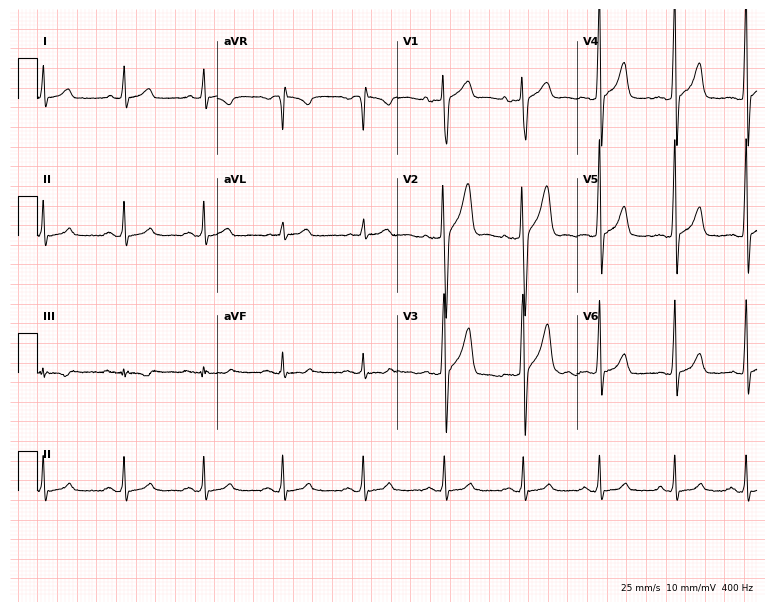
ECG (7.3-second recording at 400 Hz) — a male, 38 years old. Labelled as a normal ECG.